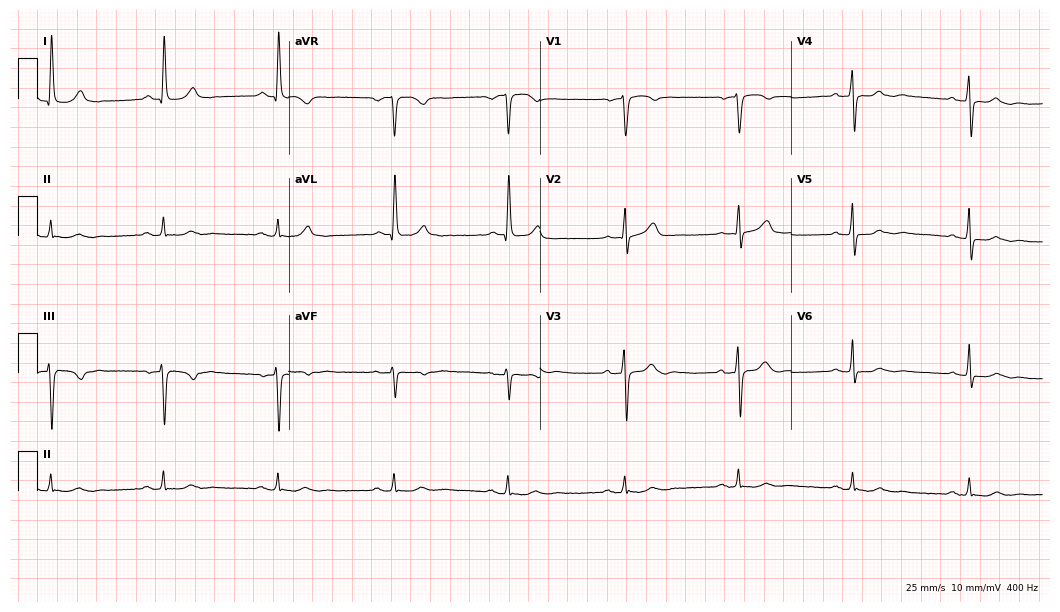
12-lead ECG from a man, 72 years old (10.2-second recording at 400 Hz). Recorded interpretation: within normal limits.